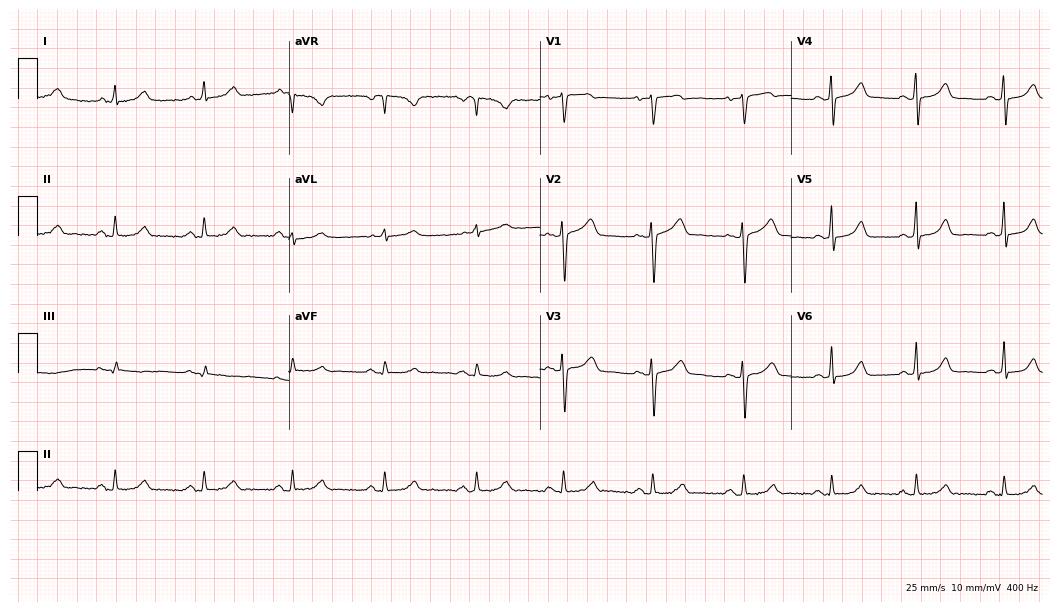
12-lead ECG (10.2-second recording at 400 Hz) from a 47-year-old female patient. Labelled as a normal ECG.